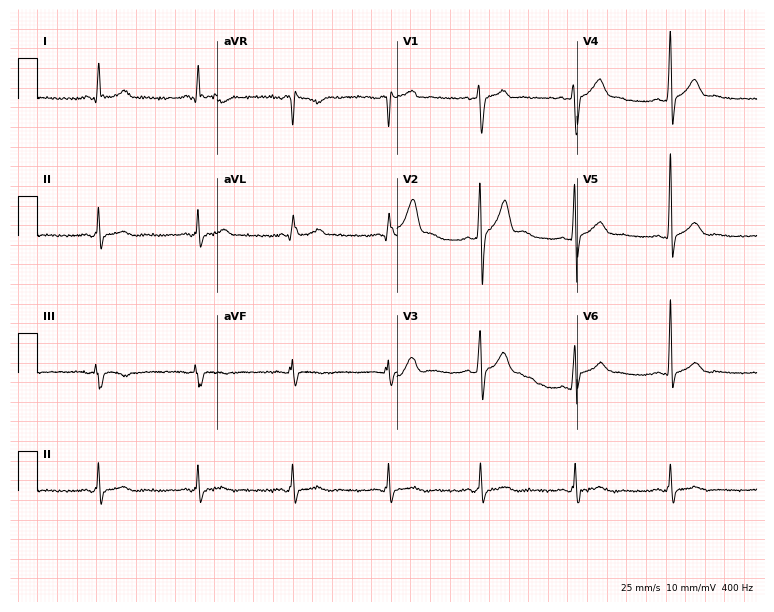
ECG — a man, 29 years old. Labelled as a normal ECG.